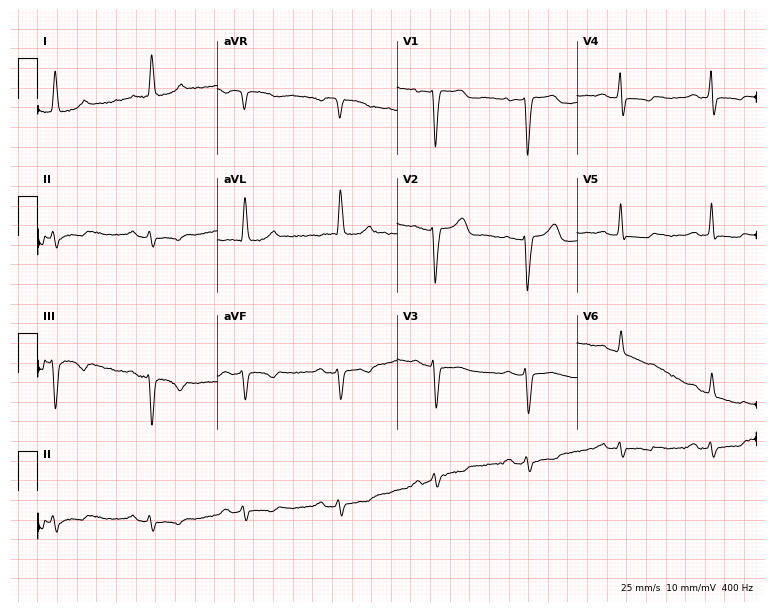
12-lead ECG from a female, 66 years old (7.3-second recording at 400 Hz). No first-degree AV block, right bundle branch block, left bundle branch block, sinus bradycardia, atrial fibrillation or sinus tachycardia recorded for this tracing. Only these six findings were labelled.